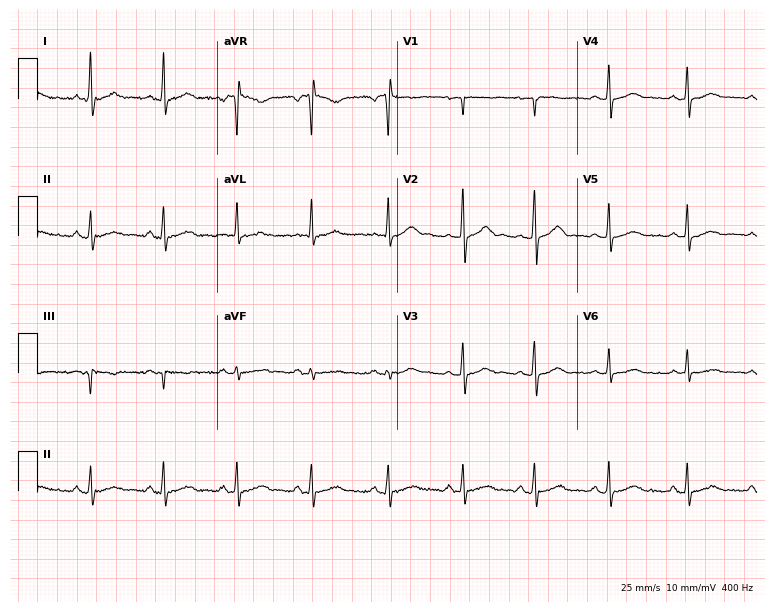
ECG — a 37-year-old female patient. Screened for six findings — first-degree AV block, right bundle branch block, left bundle branch block, sinus bradycardia, atrial fibrillation, sinus tachycardia — none is recorded. Other findings, if any, are not listed.